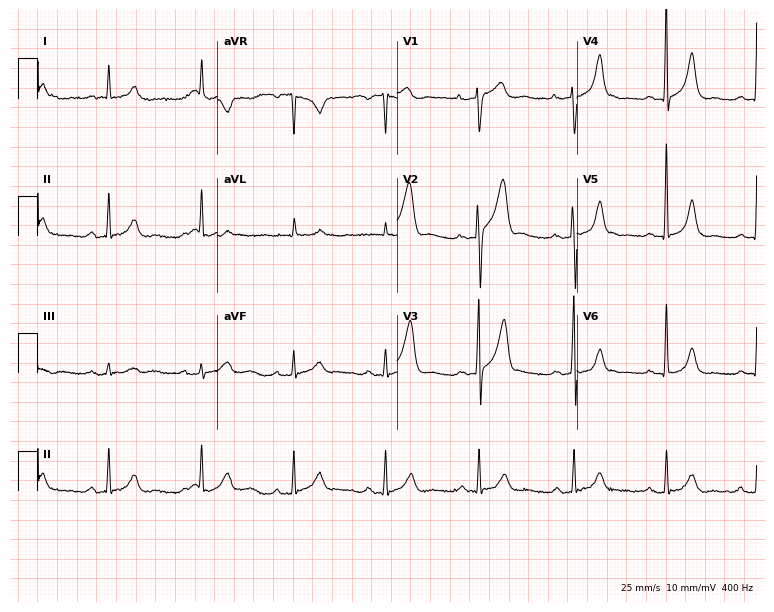
Electrocardiogram (7.3-second recording at 400 Hz), a 74-year-old male patient. Overall reading on record: normal ECG.